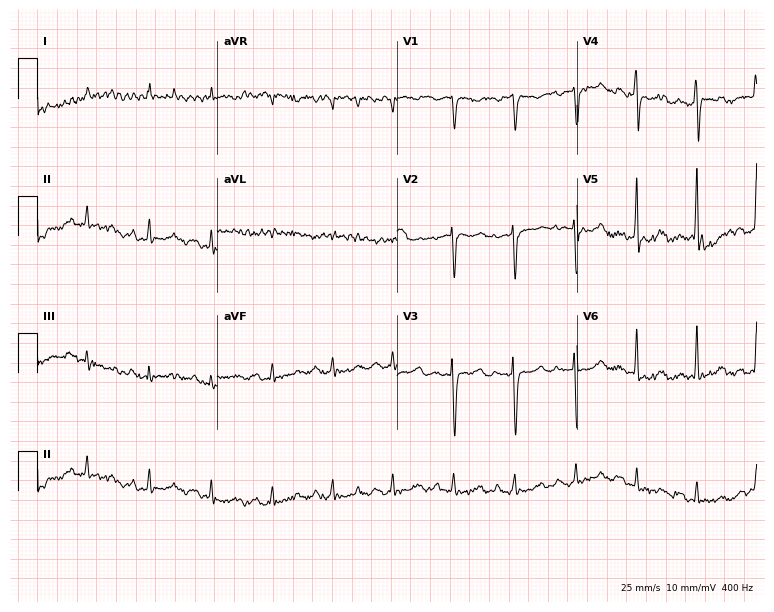
Electrocardiogram (7.3-second recording at 400 Hz), a woman, 57 years old. Of the six screened findings (first-degree AV block, right bundle branch block (RBBB), left bundle branch block (LBBB), sinus bradycardia, atrial fibrillation (AF), sinus tachycardia), none is recorded.